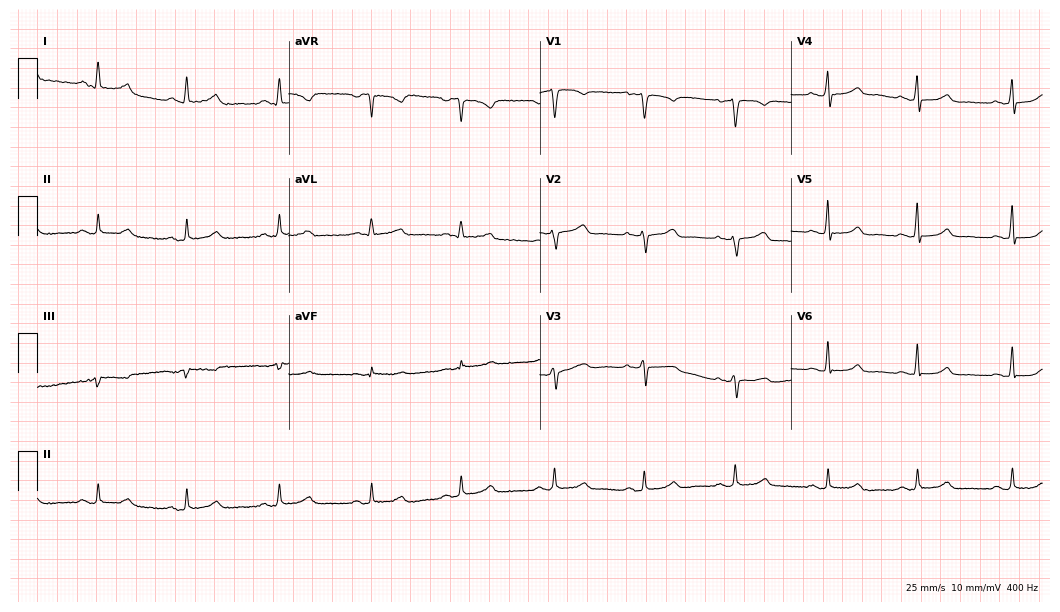
Standard 12-lead ECG recorded from a female patient, 56 years old (10.2-second recording at 400 Hz). Read as a normal ECG.